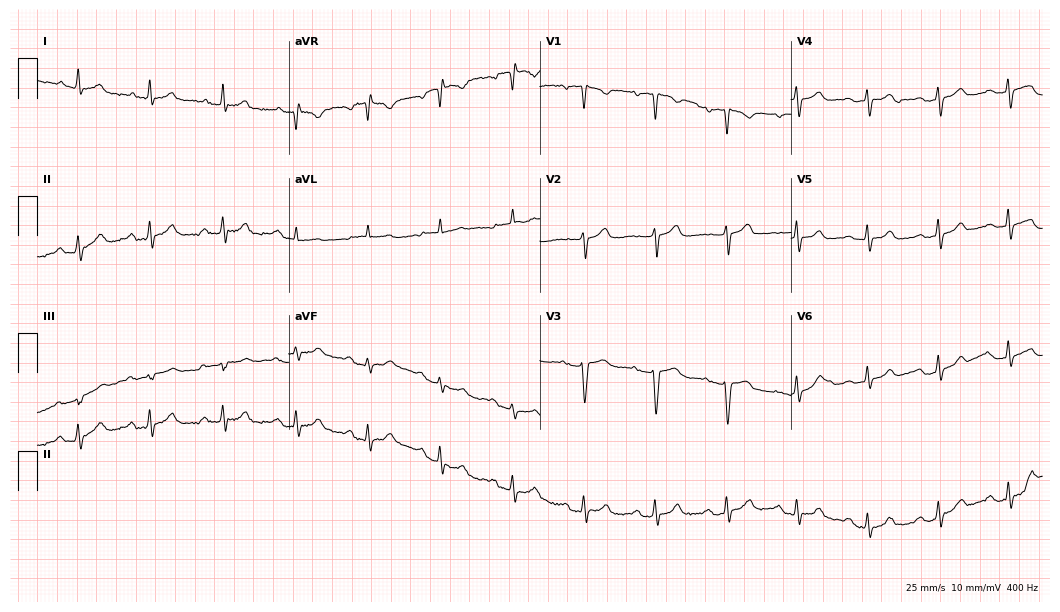
12-lead ECG (10.2-second recording at 400 Hz) from a 64-year-old female patient. Labelled as a normal ECG.